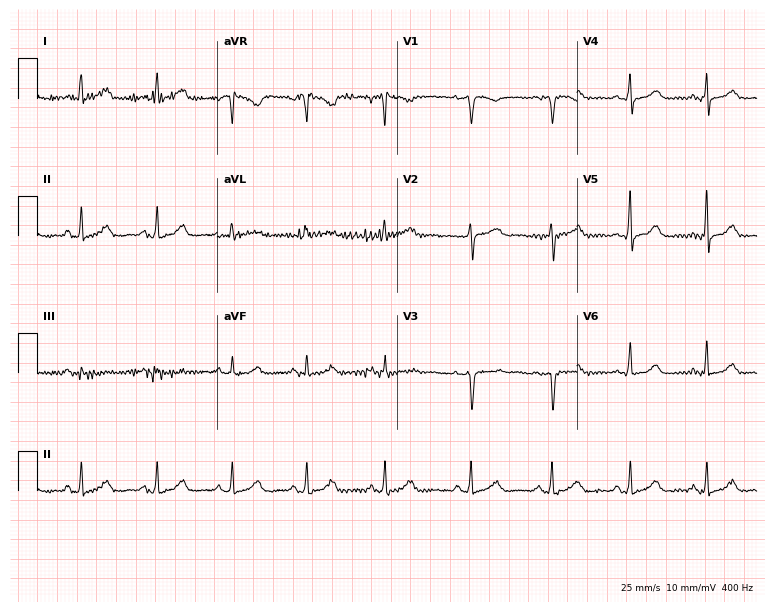
ECG — a woman, 39 years old. Labelled as a normal ECG.